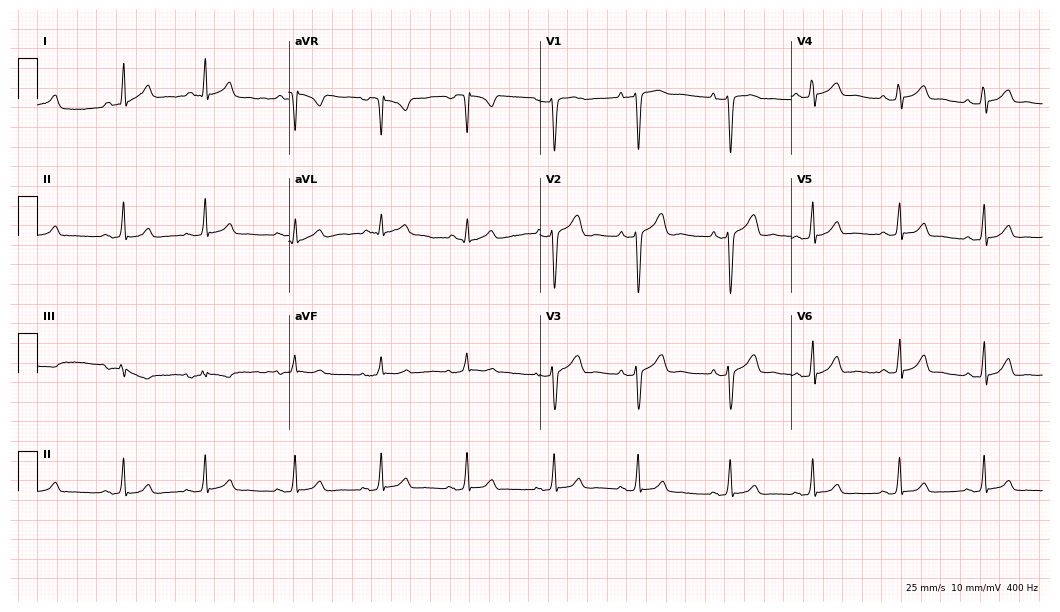
12-lead ECG (10.2-second recording at 400 Hz) from a 25-year-old woman. Labelled as a normal ECG.